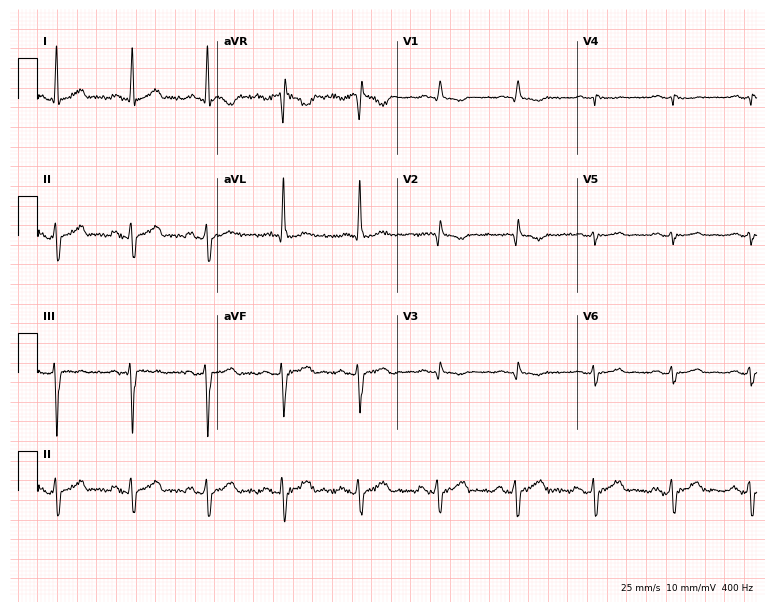
Resting 12-lead electrocardiogram (7.3-second recording at 400 Hz). Patient: a 59-year-old man. None of these six findings is recorded: first-degree AV block, right bundle branch block (RBBB), left bundle branch block (LBBB), sinus bradycardia, atrial fibrillation (AF), sinus tachycardia. Other findings, if any, are not listed.